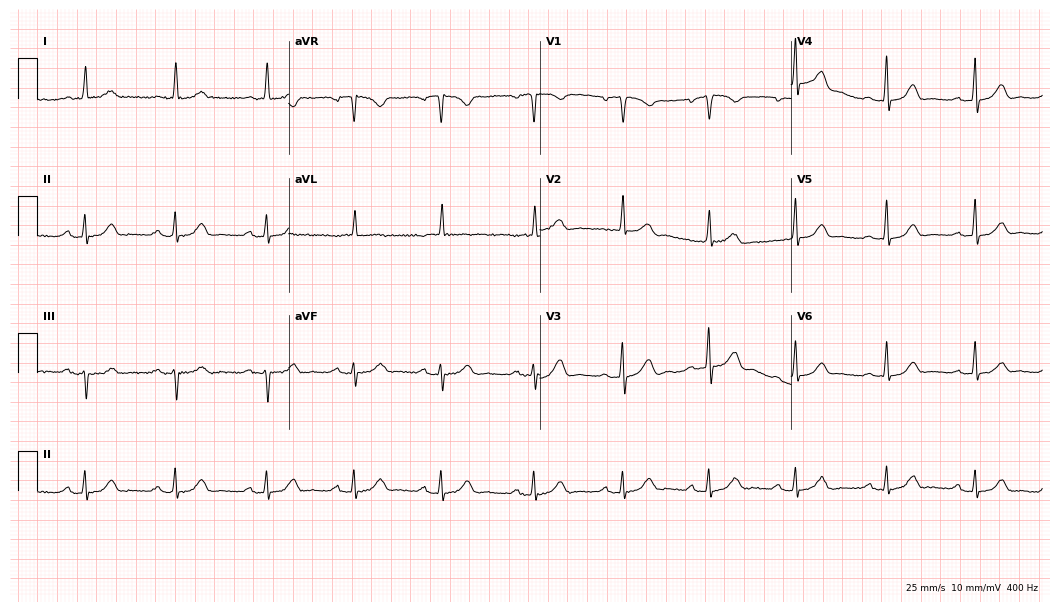
12-lead ECG from a woman, 75 years old. Recorded interpretation: within normal limits.